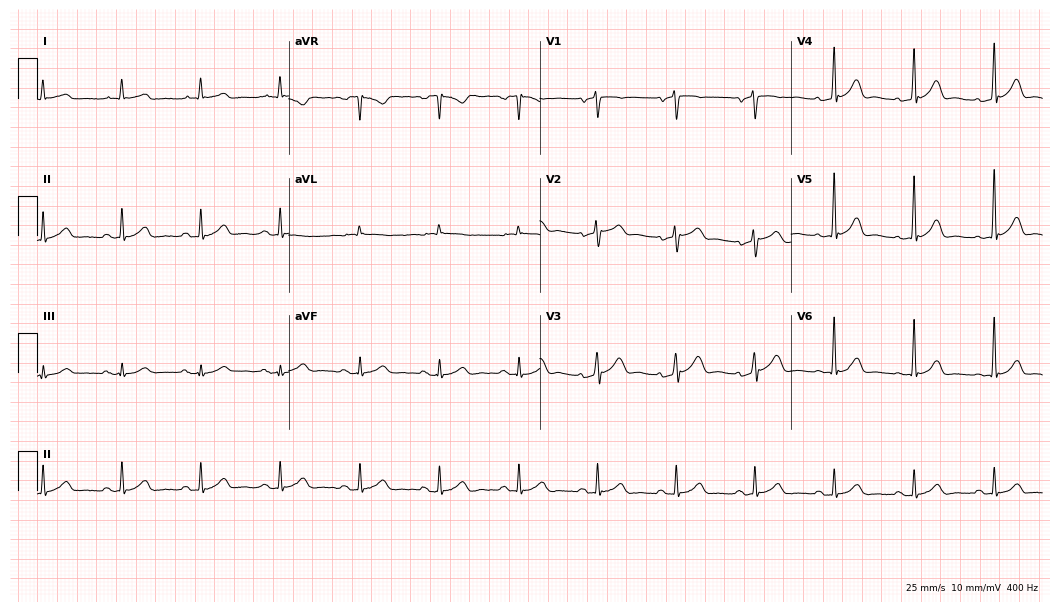
Standard 12-lead ECG recorded from a male, 77 years old (10.2-second recording at 400 Hz). Read as a normal ECG.